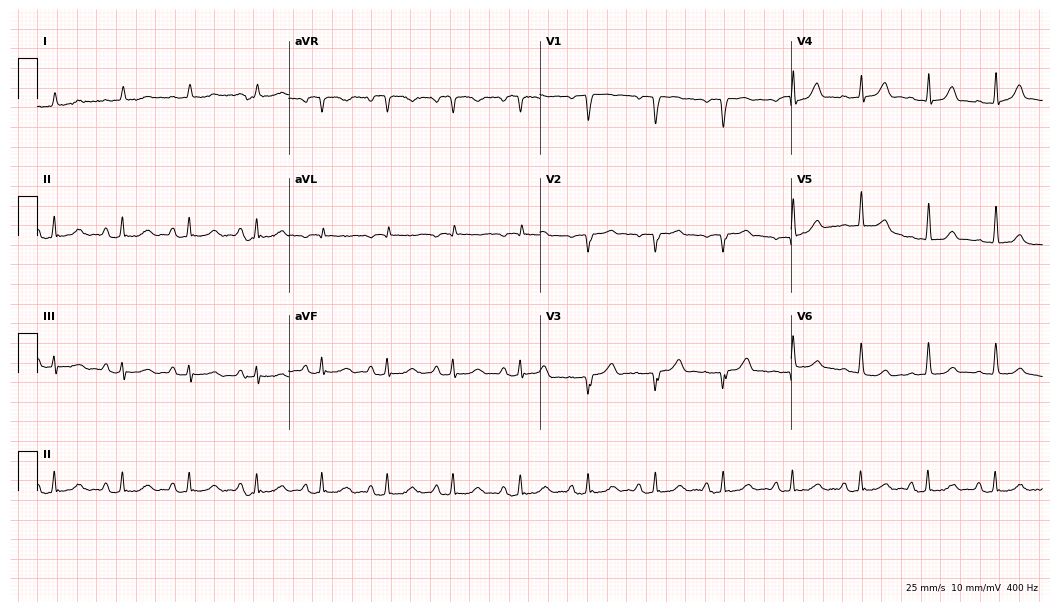
Resting 12-lead electrocardiogram (10.2-second recording at 400 Hz). Patient: a 71-year-old male. None of these six findings is recorded: first-degree AV block, right bundle branch block, left bundle branch block, sinus bradycardia, atrial fibrillation, sinus tachycardia. Findings outside these six are not listed.